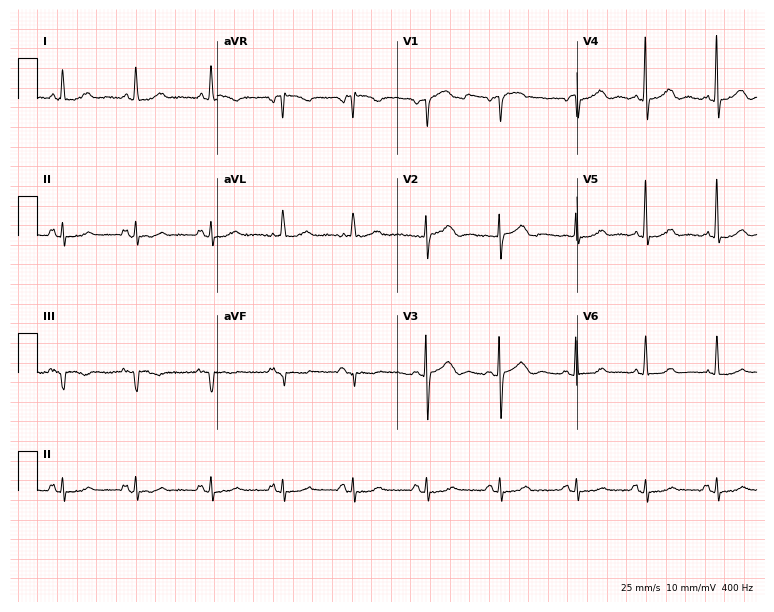
12-lead ECG from a 78-year-old female (7.3-second recording at 400 Hz). No first-degree AV block, right bundle branch block (RBBB), left bundle branch block (LBBB), sinus bradycardia, atrial fibrillation (AF) or sinus tachycardia recorded for this tracing.